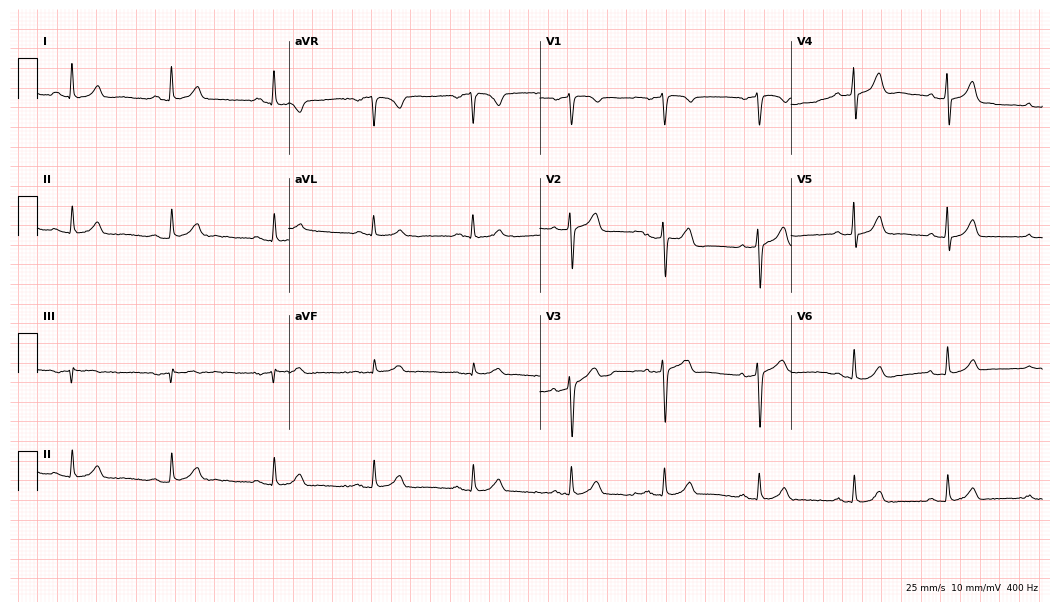
12-lead ECG from a 50-year-old male. Recorded interpretation: within normal limits.